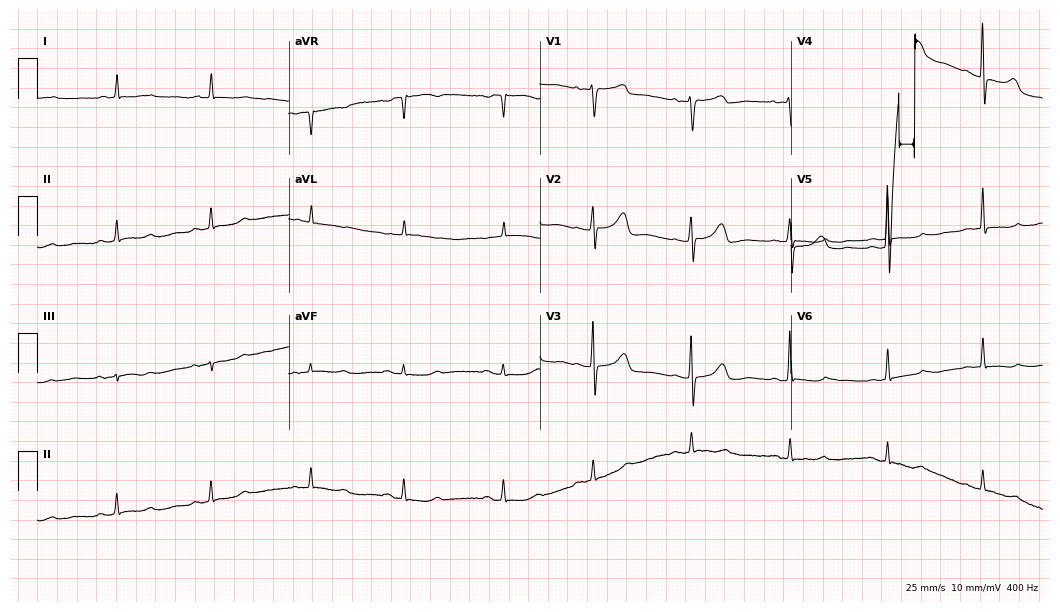
12-lead ECG from a 72-year-old female. Screened for six findings — first-degree AV block, right bundle branch block, left bundle branch block, sinus bradycardia, atrial fibrillation, sinus tachycardia — none is recorded. Other findings, if any, are not listed.